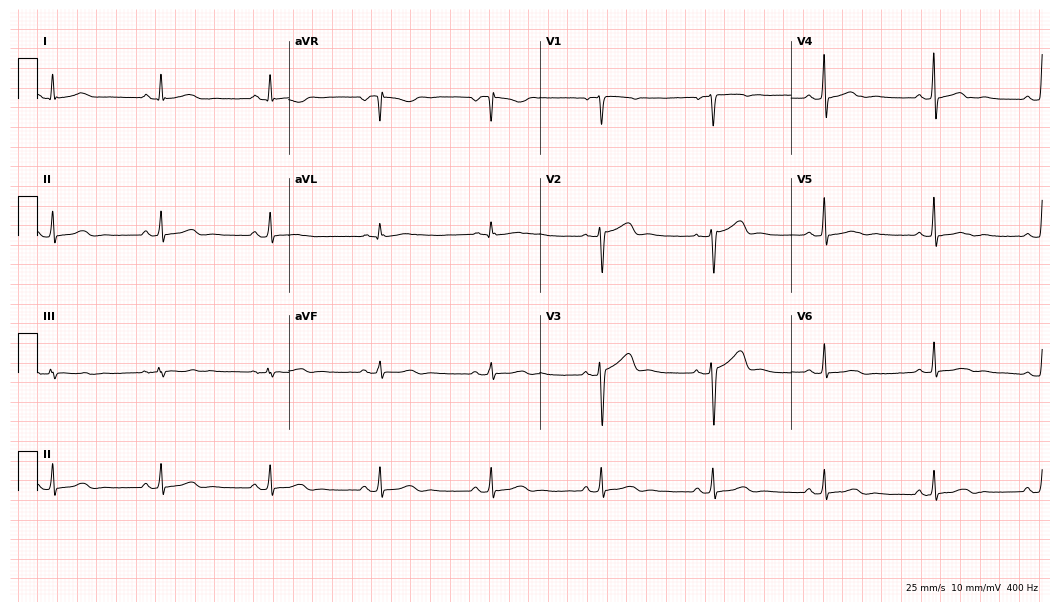
12-lead ECG from a 52-year-old woman (10.2-second recording at 400 Hz). Recorded interpretation: within normal limits.